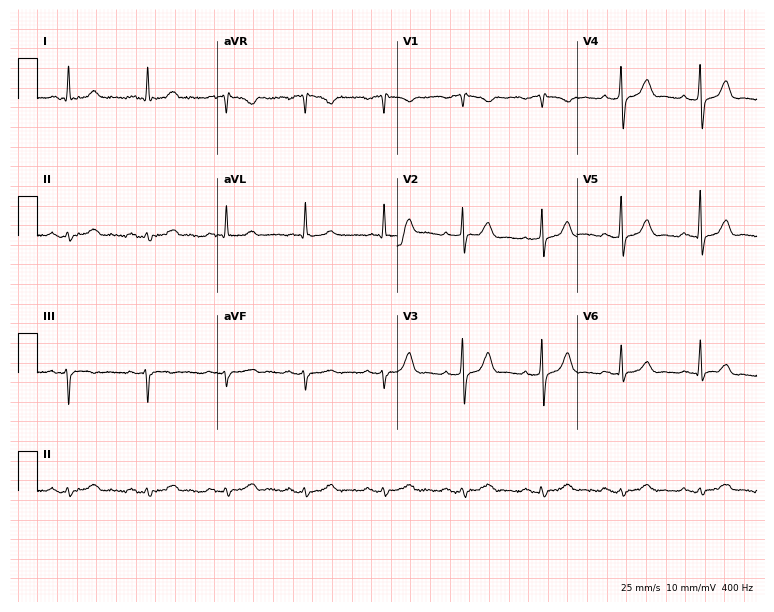
12-lead ECG (7.3-second recording at 400 Hz) from a male patient, 84 years old. Labelled as a normal ECG.